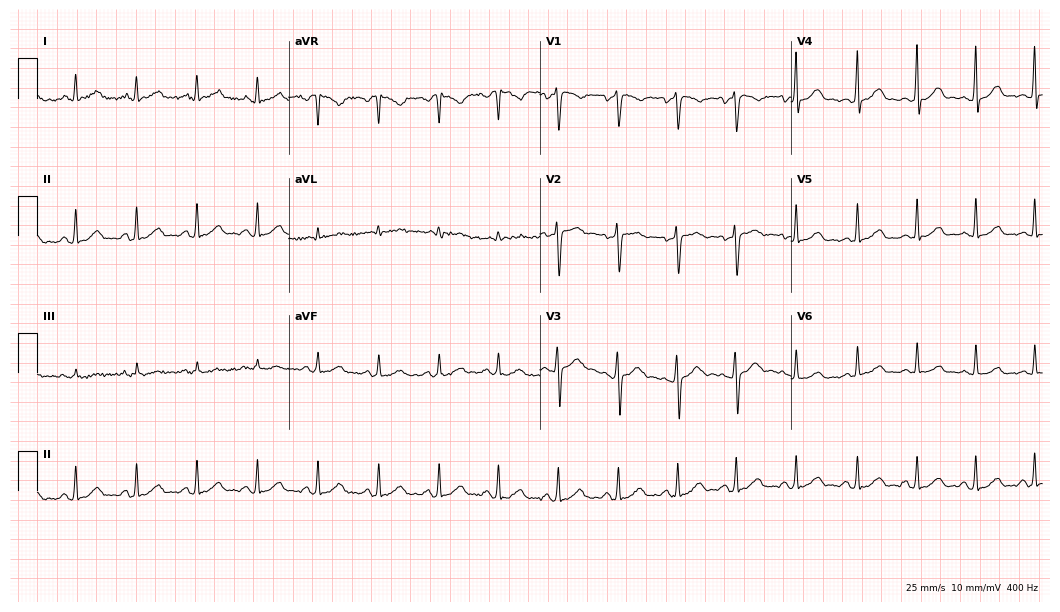
Resting 12-lead electrocardiogram. Patient: a female, 39 years old. None of these six findings is recorded: first-degree AV block, right bundle branch block (RBBB), left bundle branch block (LBBB), sinus bradycardia, atrial fibrillation (AF), sinus tachycardia. Findings outside these six are not listed.